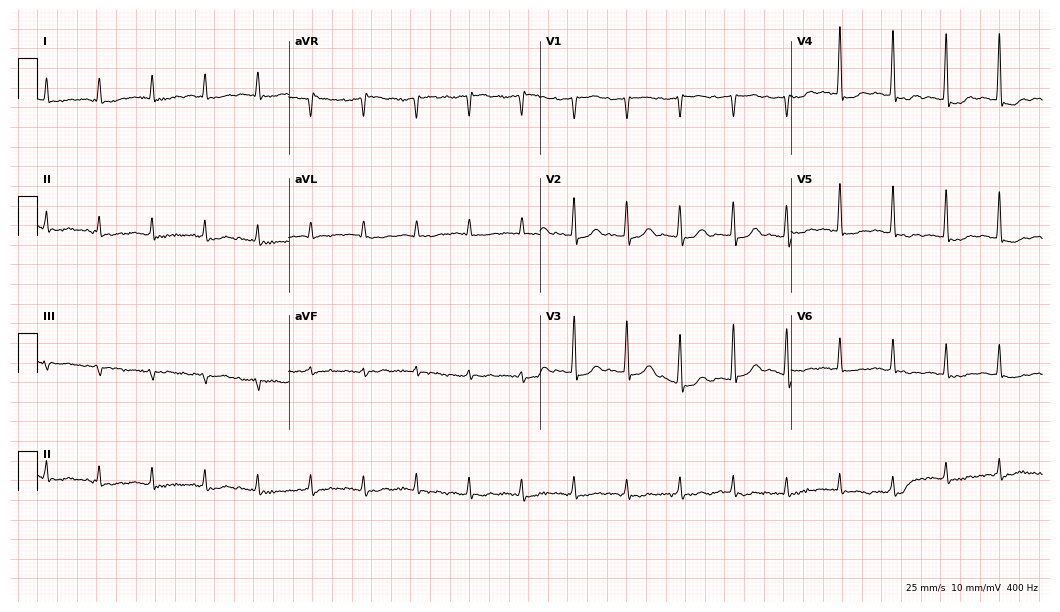
Standard 12-lead ECG recorded from a female, 81 years old (10.2-second recording at 400 Hz). The tracing shows sinus tachycardia (a sinus rate of 100 beats per minute or more).